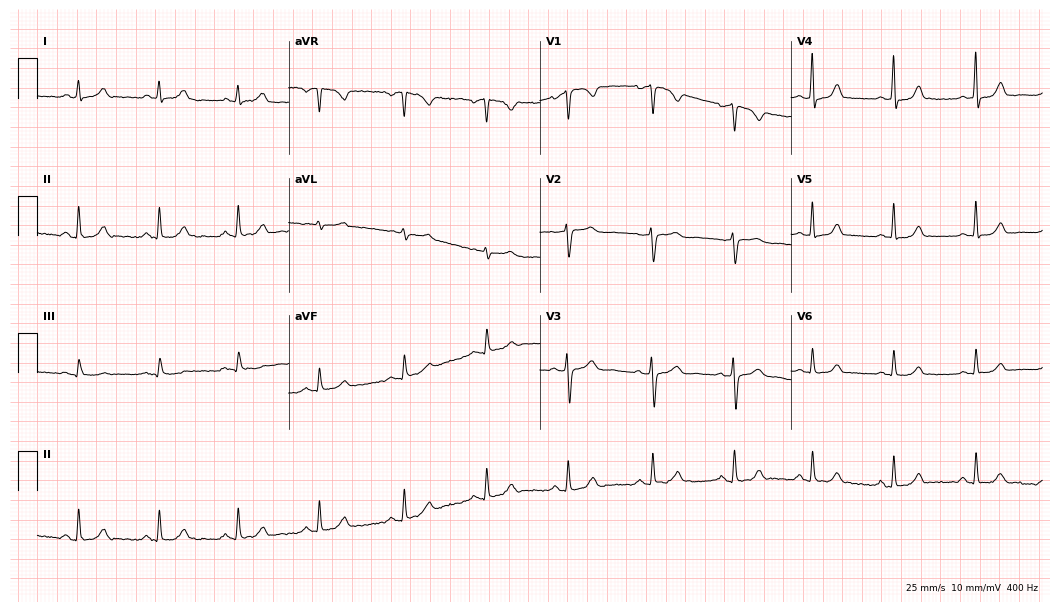
12-lead ECG from a female, 38 years old. Recorded interpretation: within normal limits.